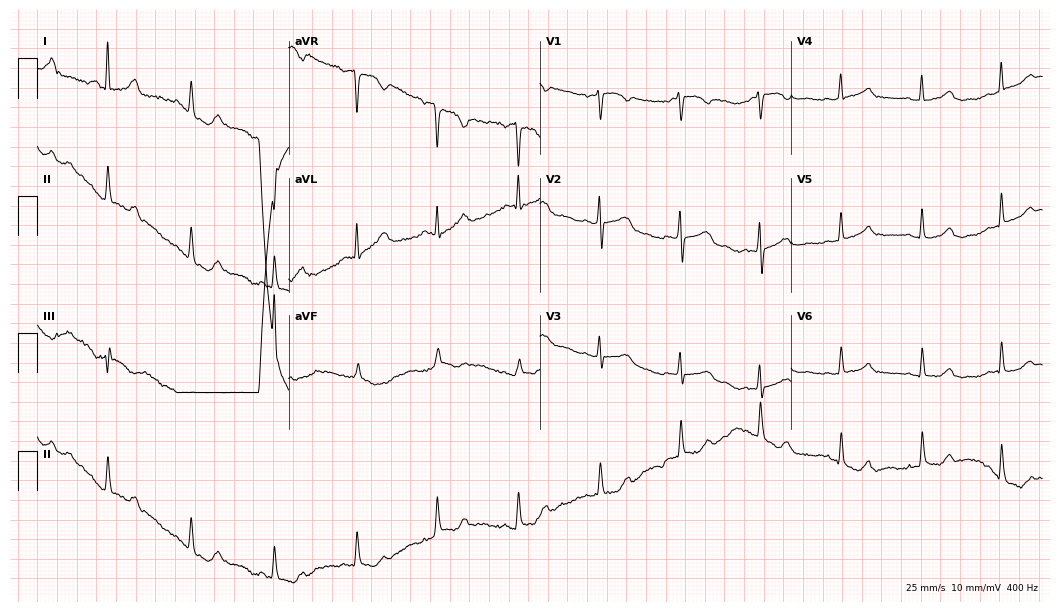
12-lead ECG (10.2-second recording at 400 Hz) from a female, 72 years old. Screened for six findings — first-degree AV block, right bundle branch block (RBBB), left bundle branch block (LBBB), sinus bradycardia, atrial fibrillation (AF), sinus tachycardia — none is recorded.